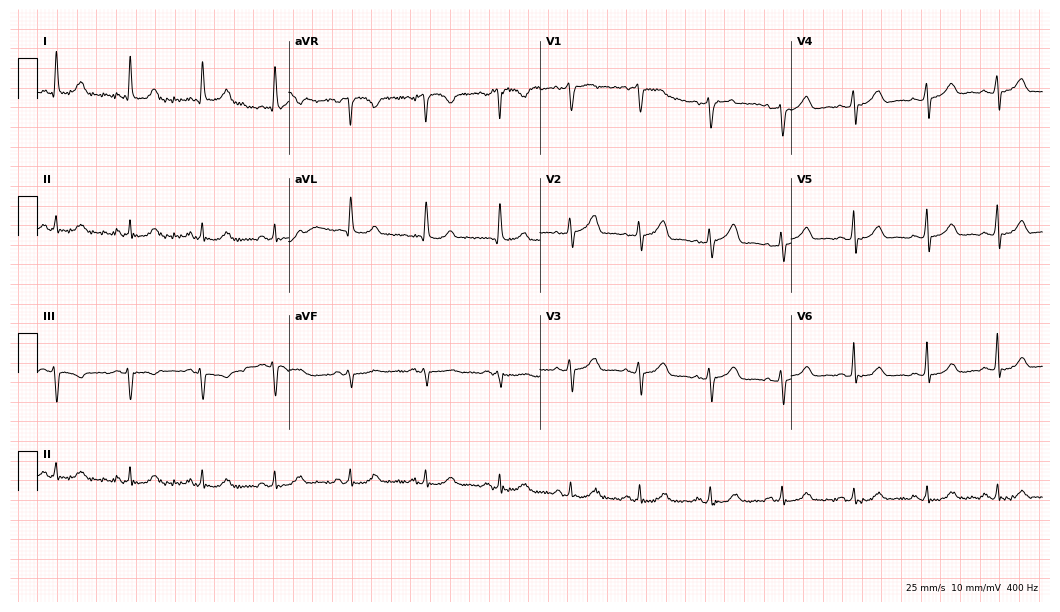
12-lead ECG from a woman, 71 years old. Labelled as a normal ECG.